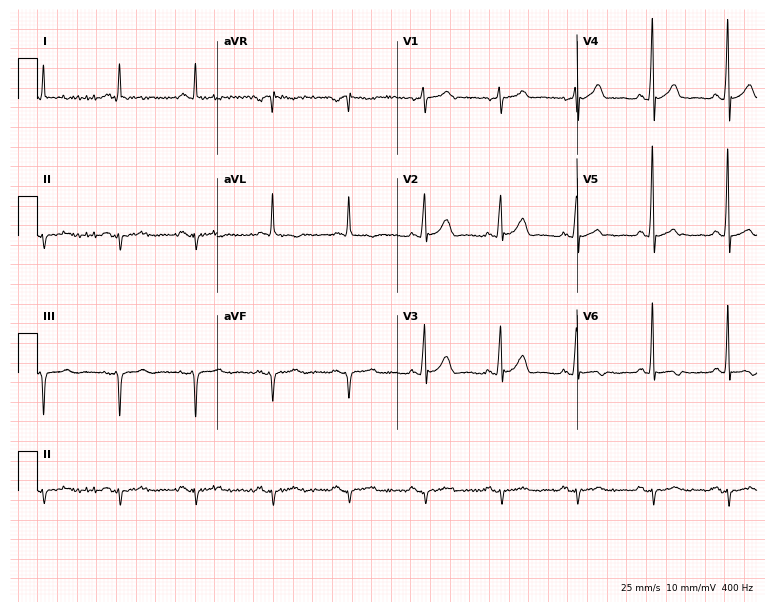
Resting 12-lead electrocardiogram (7.3-second recording at 400 Hz). Patient: a male, 68 years old. None of these six findings is recorded: first-degree AV block, right bundle branch block, left bundle branch block, sinus bradycardia, atrial fibrillation, sinus tachycardia.